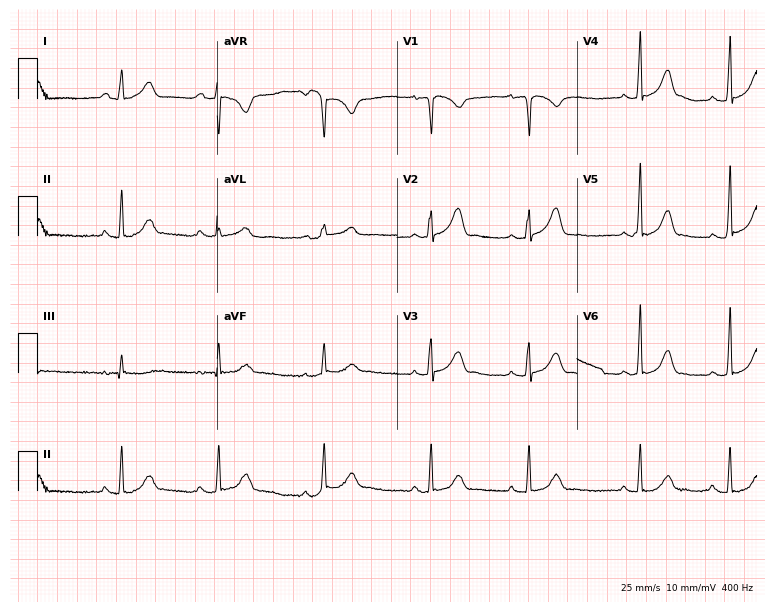
12-lead ECG from an 18-year-old female patient. No first-degree AV block, right bundle branch block (RBBB), left bundle branch block (LBBB), sinus bradycardia, atrial fibrillation (AF) or sinus tachycardia recorded for this tracing.